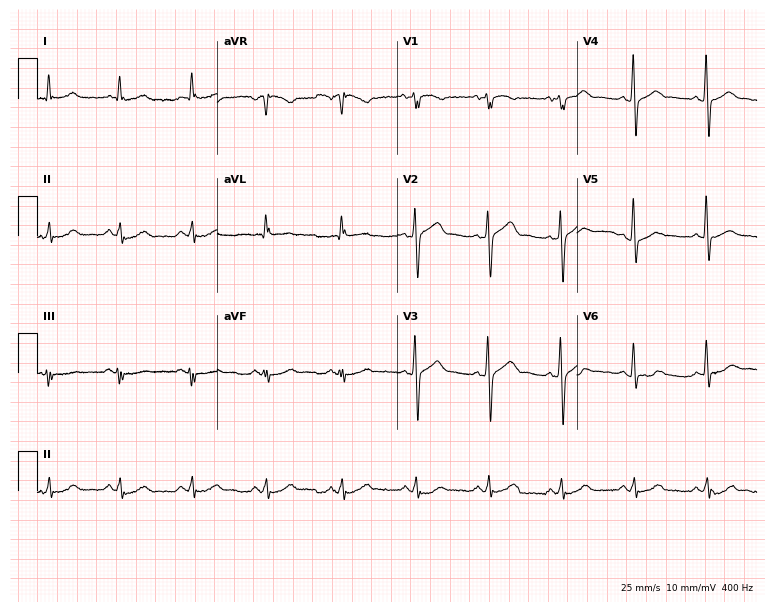
Standard 12-lead ECG recorded from a male patient, 76 years old (7.3-second recording at 400 Hz). Read as a normal ECG.